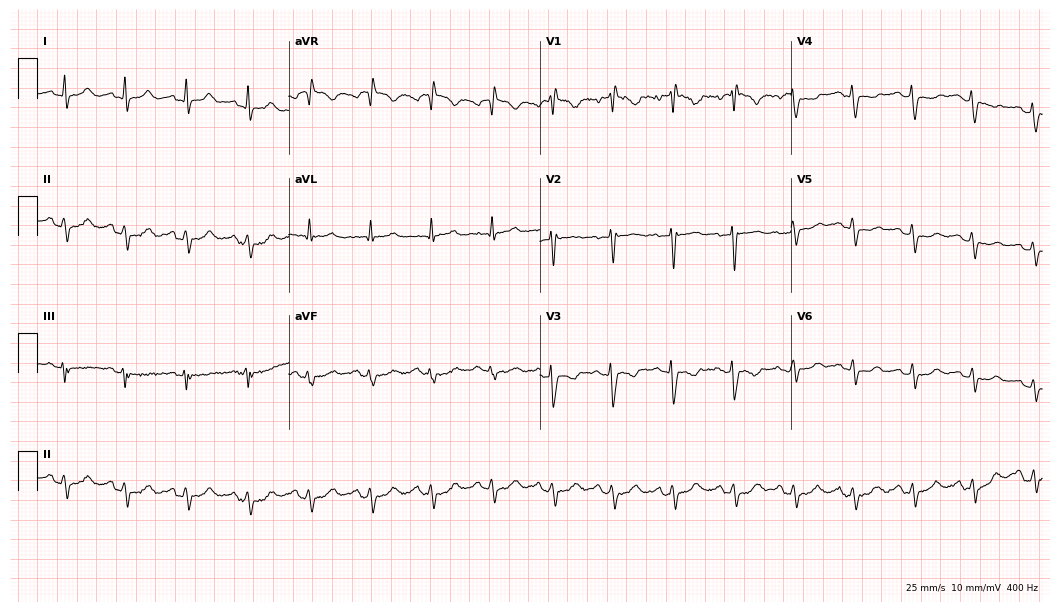
Electrocardiogram, a female patient, 20 years old. Of the six screened findings (first-degree AV block, right bundle branch block (RBBB), left bundle branch block (LBBB), sinus bradycardia, atrial fibrillation (AF), sinus tachycardia), none is recorded.